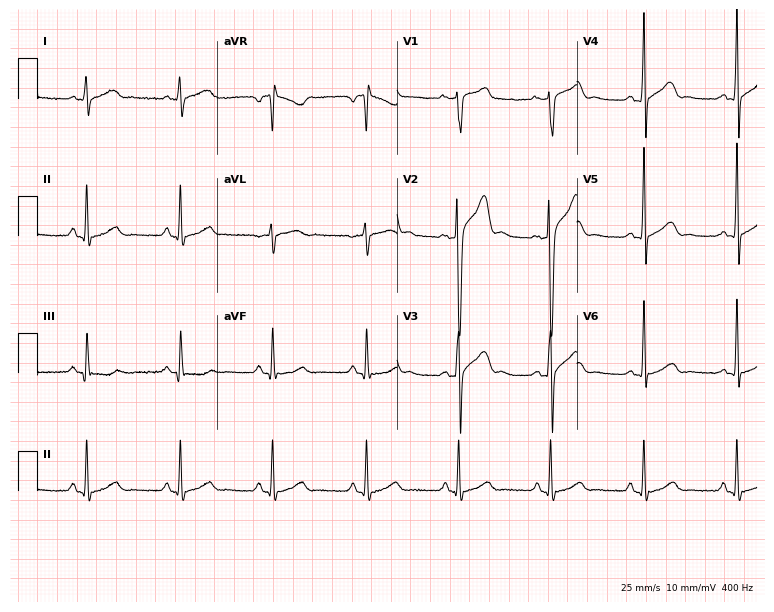
12-lead ECG (7.3-second recording at 400 Hz) from a man, 43 years old. Labelled as a normal ECG.